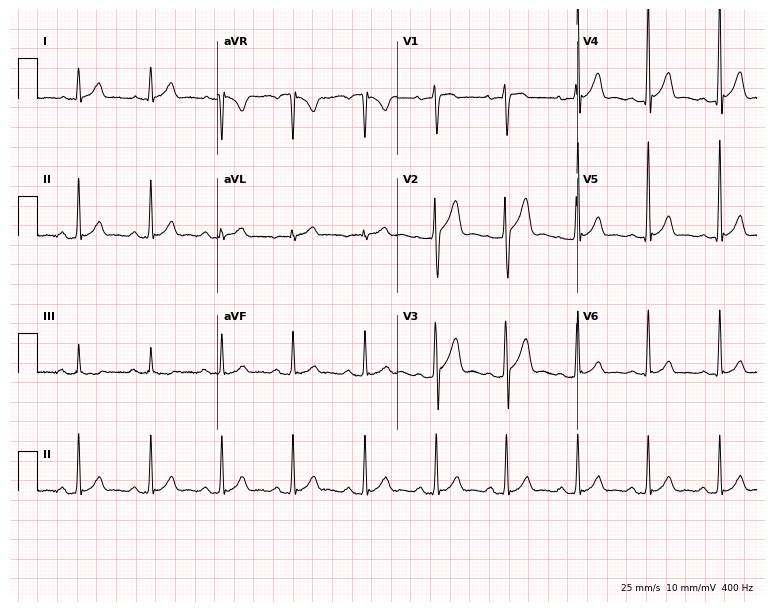
Electrocardiogram, a male, 25 years old. Overall reading on record: normal ECG.